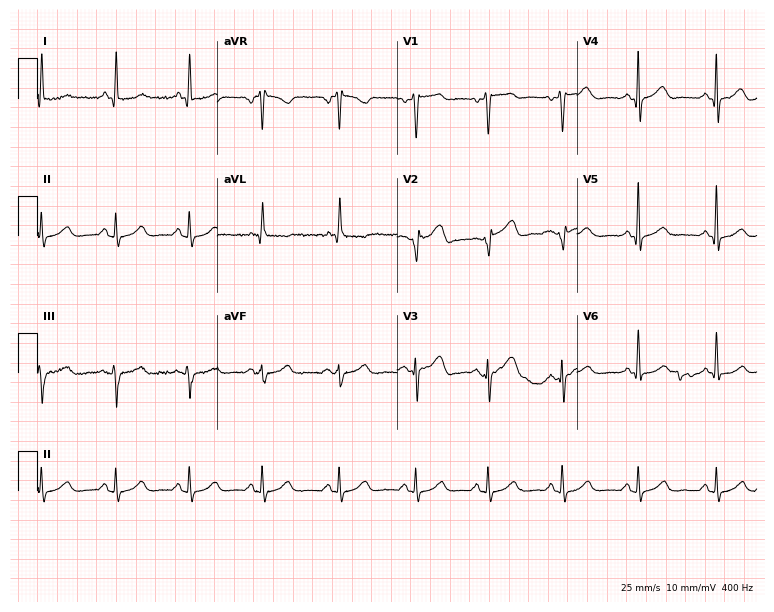
Electrocardiogram (7.3-second recording at 400 Hz), a male patient, 60 years old. Overall reading on record: normal ECG.